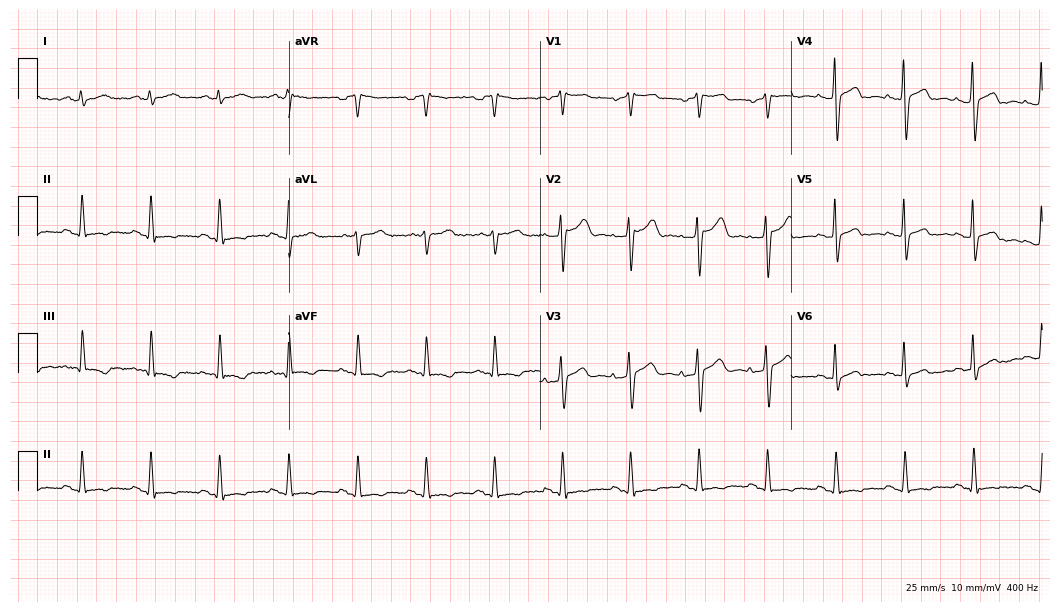
ECG — a 55-year-old male patient. Screened for six findings — first-degree AV block, right bundle branch block, left bundle branch block, sinus bradycardia, atrial fibrillation, sinus tachycardia — none is recorded.